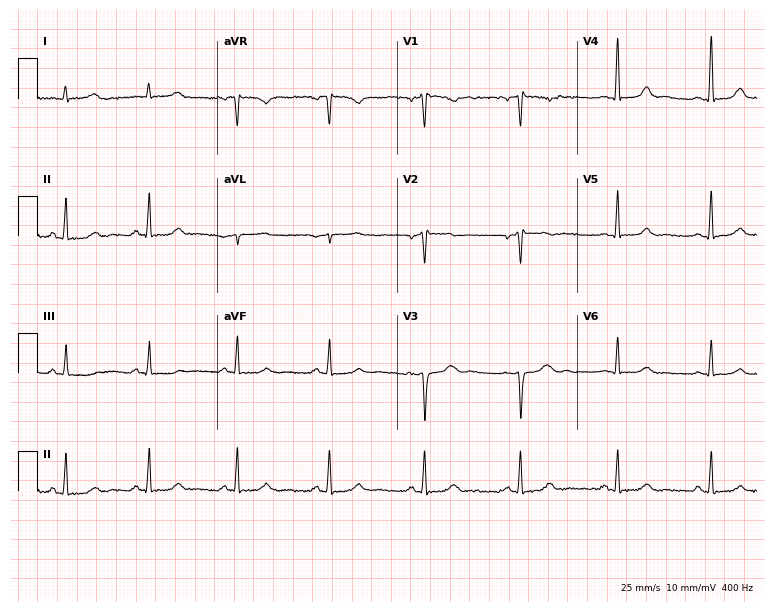
Resting 12-lead electrocardiogram. Patient: a female, 43 years old. None of these six findings is recorded: first-degree AV block, right bundle branch block, left bundle branch block, sinus bradycardia, atrial fibrillation, sinus tachycardia.